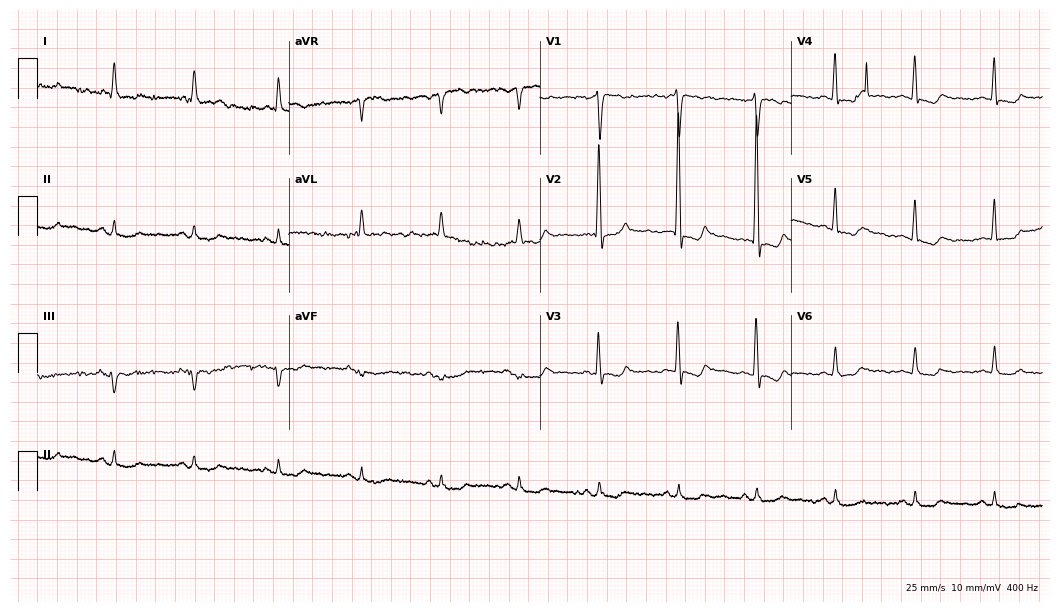
ECG (10.2-second recording at 400 Hz) — a female, 59 years old. Screened for six findings — first-degree AV block, right bundle branch block, left bundle branch block, sinus bradycardia, atrial fibrillation, sinus tachycardia — none is recorded. Other findings, if any, are not listed.